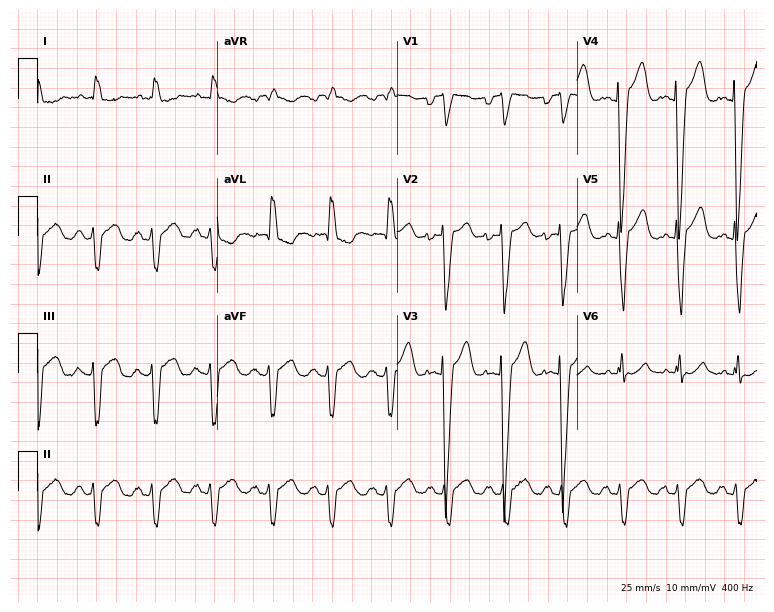
12-lead ECG from a female, 77 years old. Findings include left bundle branch block.